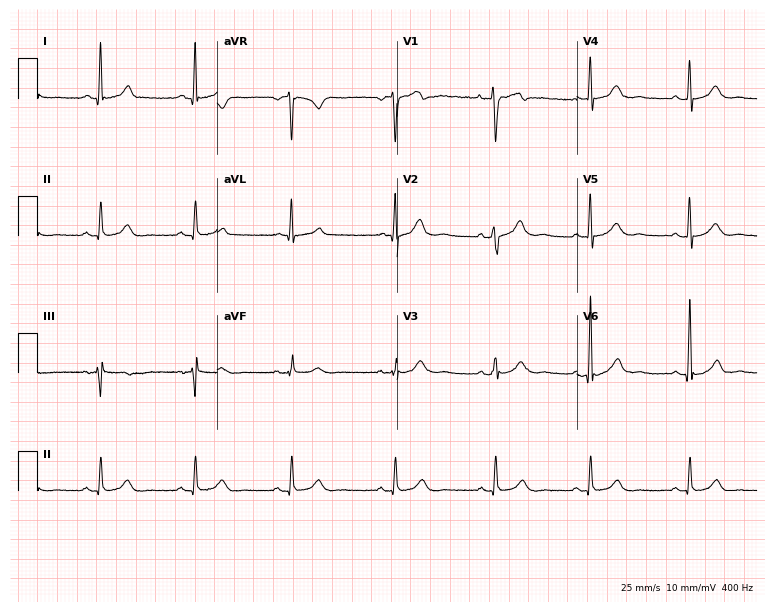
Resting 12-lead electrocardiogram. Patient: a male, 38 years old. Read as a normal ECG.